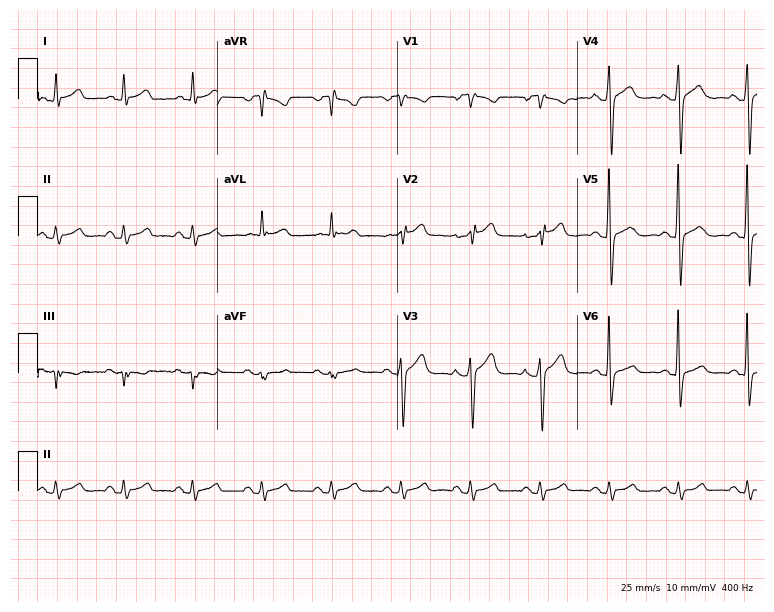
ECG (7.3-second recording at 400 Hz) — a 57-year-old man. Screened for six findings — first-degree AV block, right bundle branch block (RBBB), left bundle branch block (LBBB), sinus bradycardia, atrial fibrillation (AF), sinus tachycardia — none is recorded. Only these six findings were labelled.